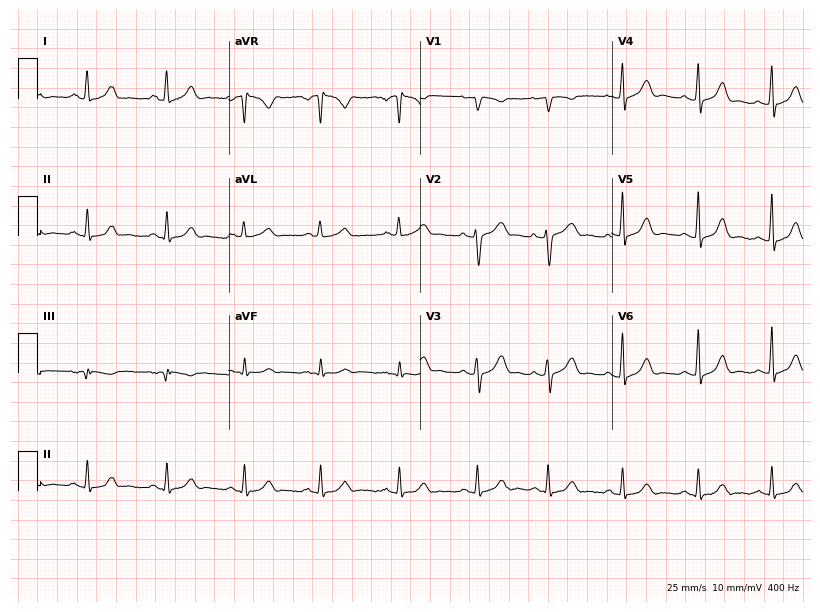
12-lead ECG from a female, 24 years old. Labelled as a normal ECG.